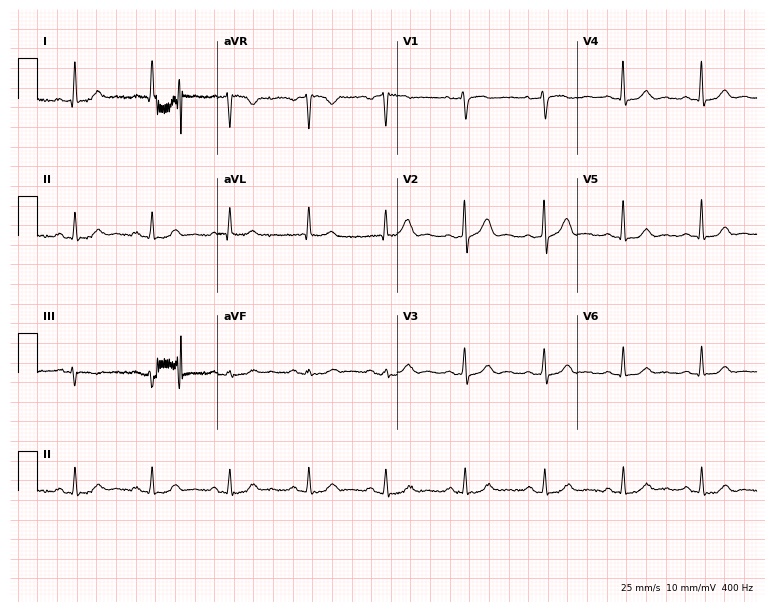
ECG — a man, 59 years old. Labelled as a normal ECG.